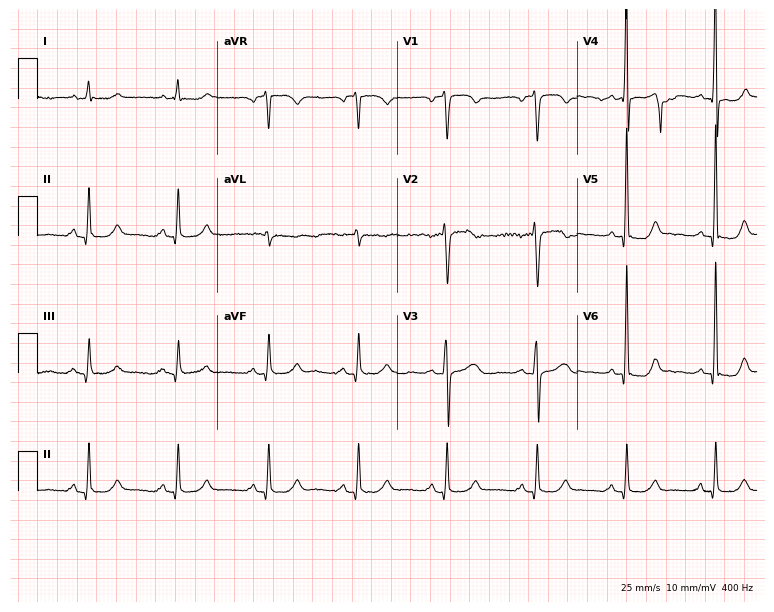
ECG — a 61-year-old male patient. Screened for six findings — first-degree AV block, right bundle branch block (RBBB), left bundle branch block (LBBB), sinus bradycardia, atrial fibrillation (AF), sinus tachycardia — none is recorded. Findings outside these six are not listed.